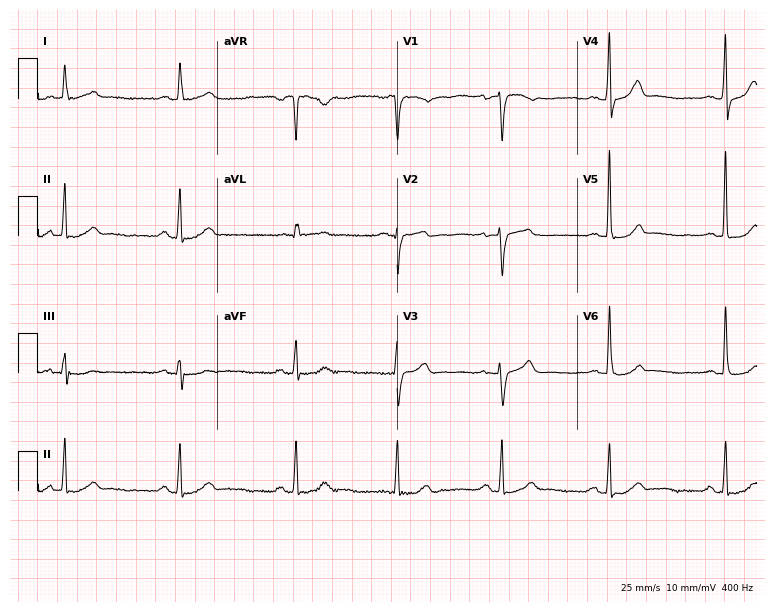
Resting 12-lead electrocardiogram (7.3-second recording at 400 Hz). Patient: a 71-year-old female. Read as a normal ECG.